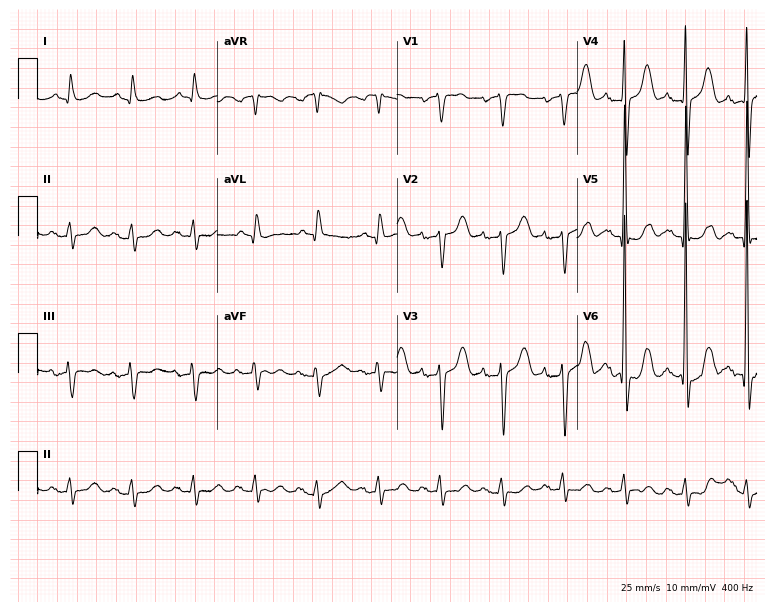
Standard 12-lead ECG recorded from an 85-year-old woman. None of these six findings is recorded: first-degree AV block, right bundle branch block (RBBB), left bundle branch block (LBBB), sinus bradycardia, atrial fibrillation (AF), sinus tachycardia.